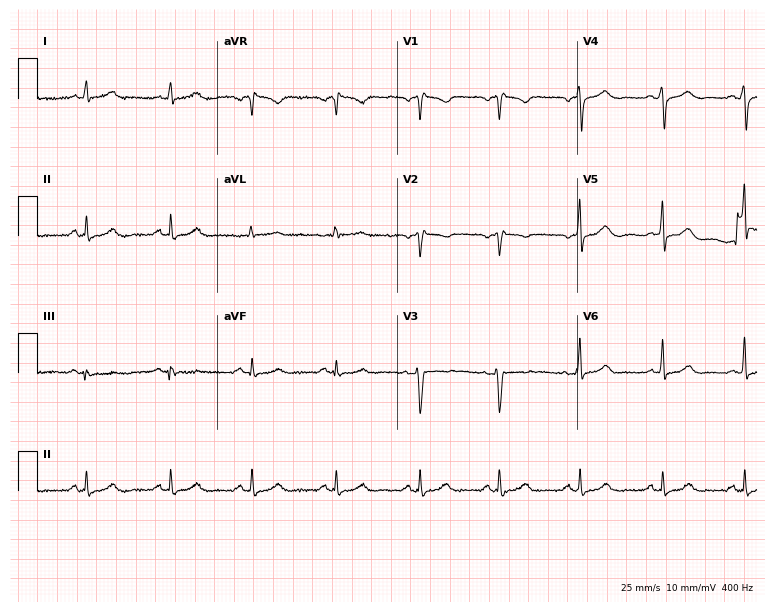
Resting 12-lead electrocardiogram (7.3-second recording at 400 Hz). Patient: a woman, 43 years old. None of these six findings is recorded: first-degree AV block, right bundle branch block, left bundle branch block, sinus bradycardia, atrial fibrillation, sinus tachycardia.